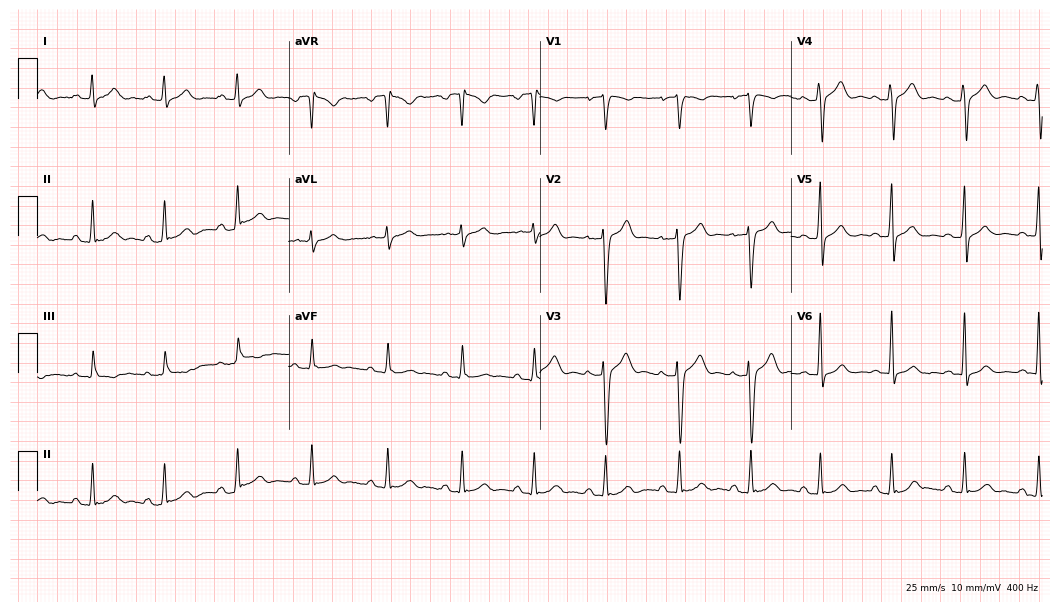
Standard 12-lead ECG recorded from a 29-year-old male patient. Read as a normal ECG.